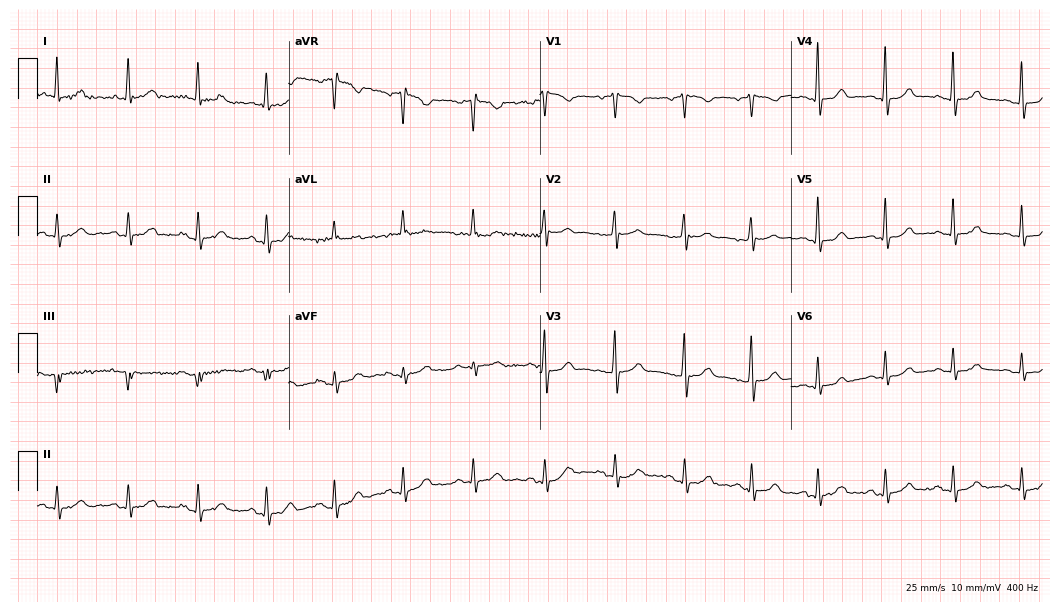
12-lead ECG from a 56-year-old woman. Recorded interpretation: within normal limits.